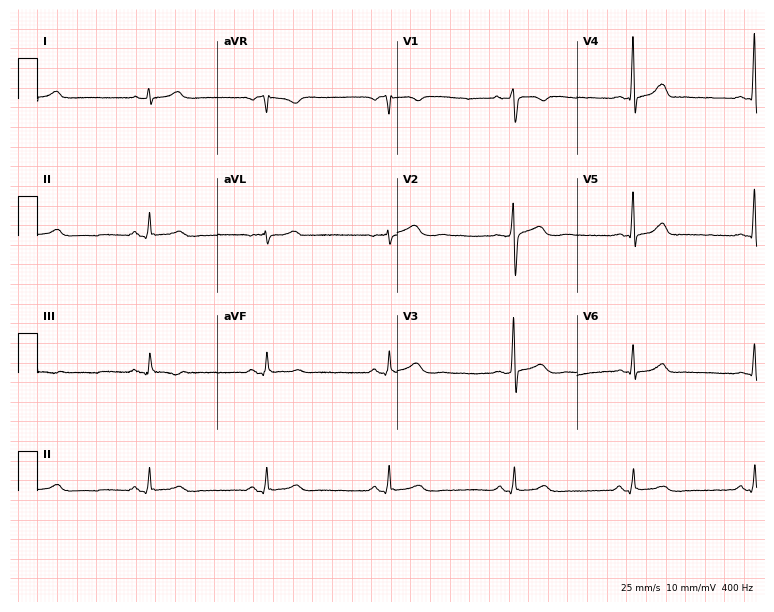
Electrocardiogram, a 53-year-old man. Interpretation includes sinus bradycardia (a sinus rate of 50 beats per minute or less).